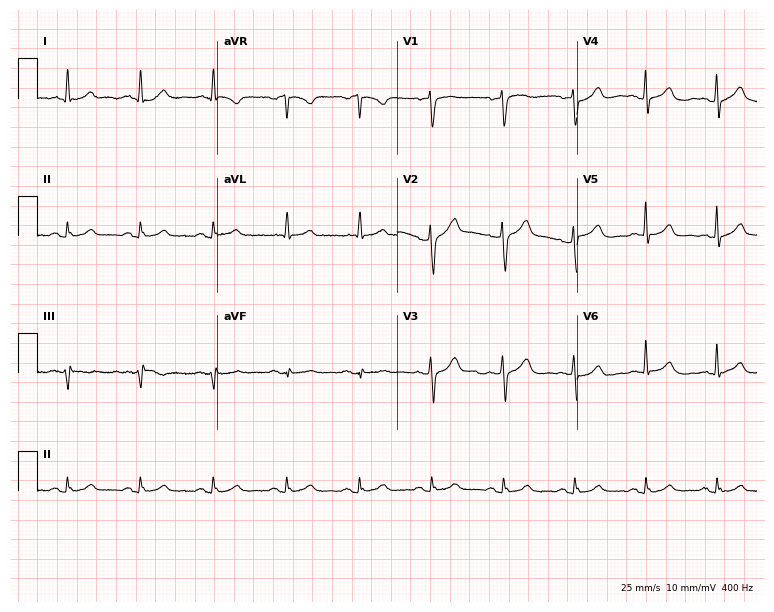
Standard 12-lead ECG recorded from a 62-year-old man (7.3-second recording at 400 Hz). Read as a normal ECG.